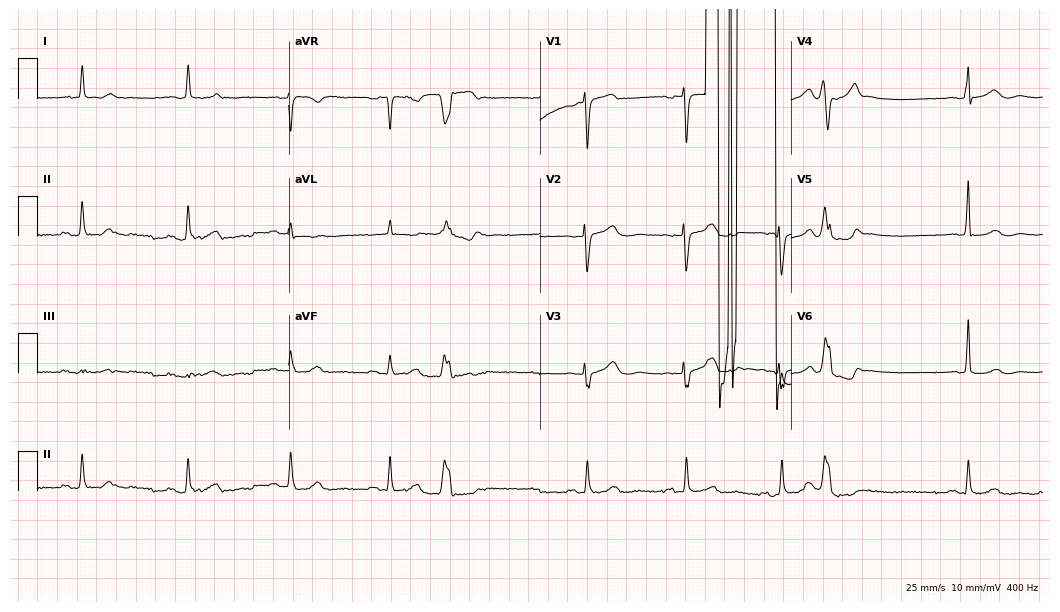
Resting 12-lead electrocardiogram (10.2-second recording at 400 Hz). Patient: an 81-year-old female. None of these six findings is recorded: first-degree AV block, right bundle branch block, left bundle branch block, sinus bradycardia, atrial fibrillation, sinus tachycardia. Findings outside these six are not listed.